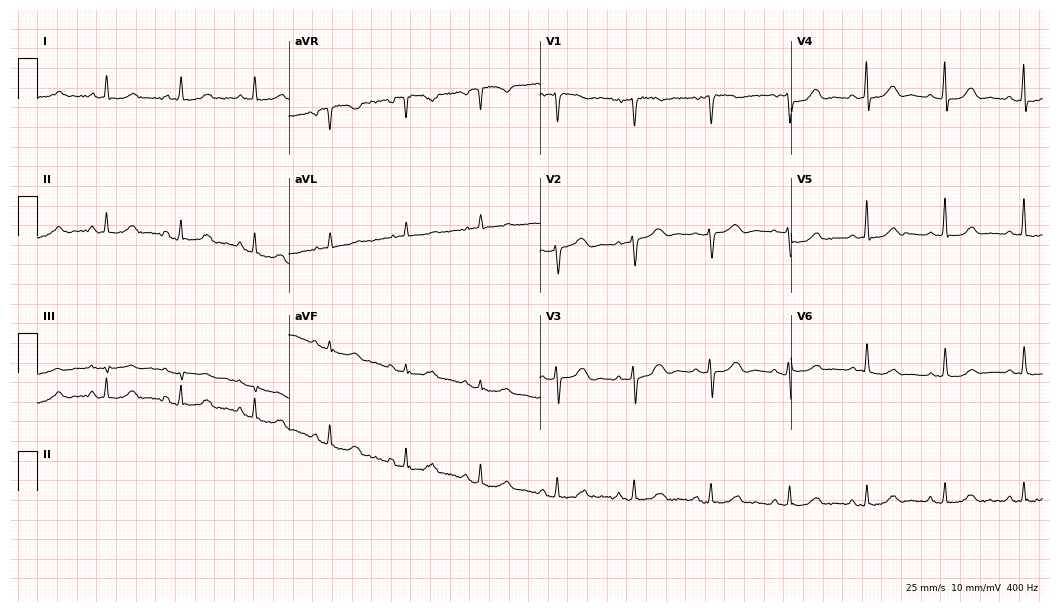
12-lead ECG from a female, 73 years old (10.2-second recording at 400 Hz). Recorded interpretation: within normal limits.